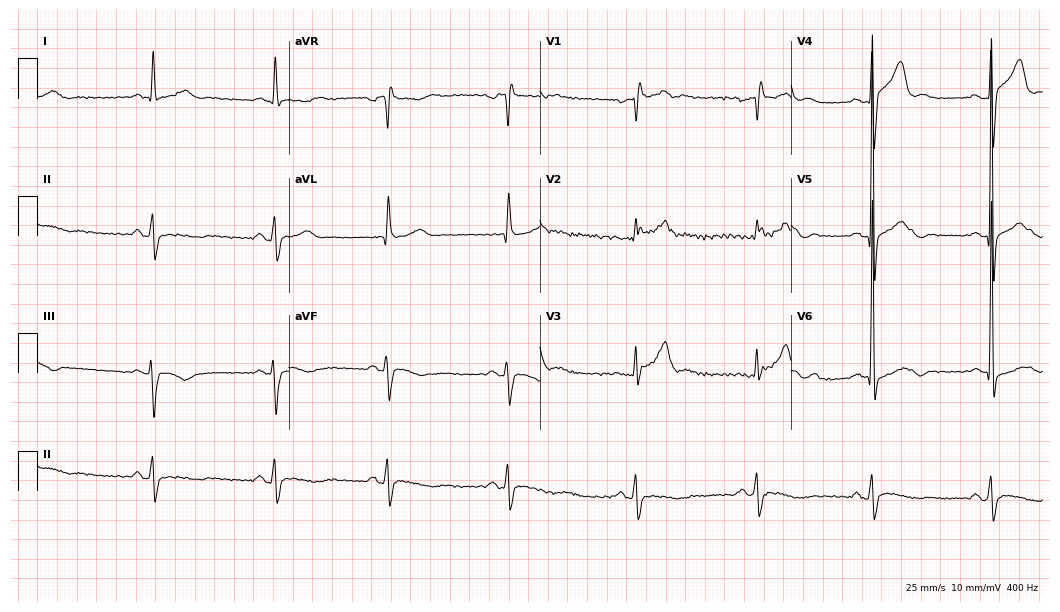
Resting 12-lead electrocardiogram (10.2-second recording at 400 Hz). Patient: a male, 55 years old. None of these six findings is recorded: first-degree AV block, right bundle branch block, left bundle branch block, sinus bradycardia, atrial fibrillation, sinus tachycardia. Other findings, if any, are not listed.